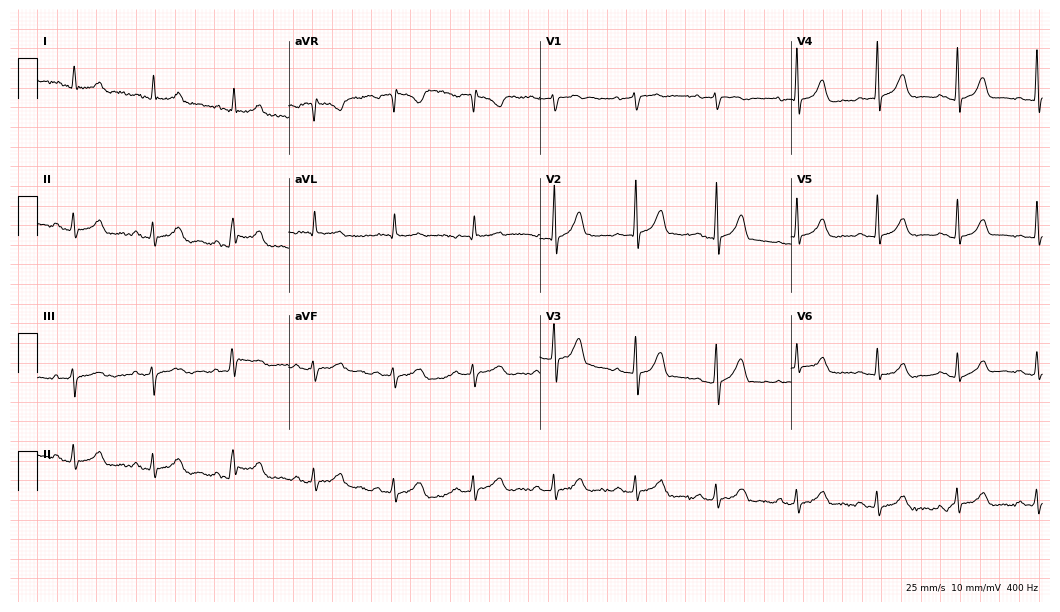
ECG — a 70-year-old male patient. Screened for six findings — first-degree AV block, right bundle branch block (RBBB), left bundle branch block (LBBB), sinus bradycardia, atrial fibrillation (AF), sinus tachycardia — none is recorded. Findings outside these six are not listed.